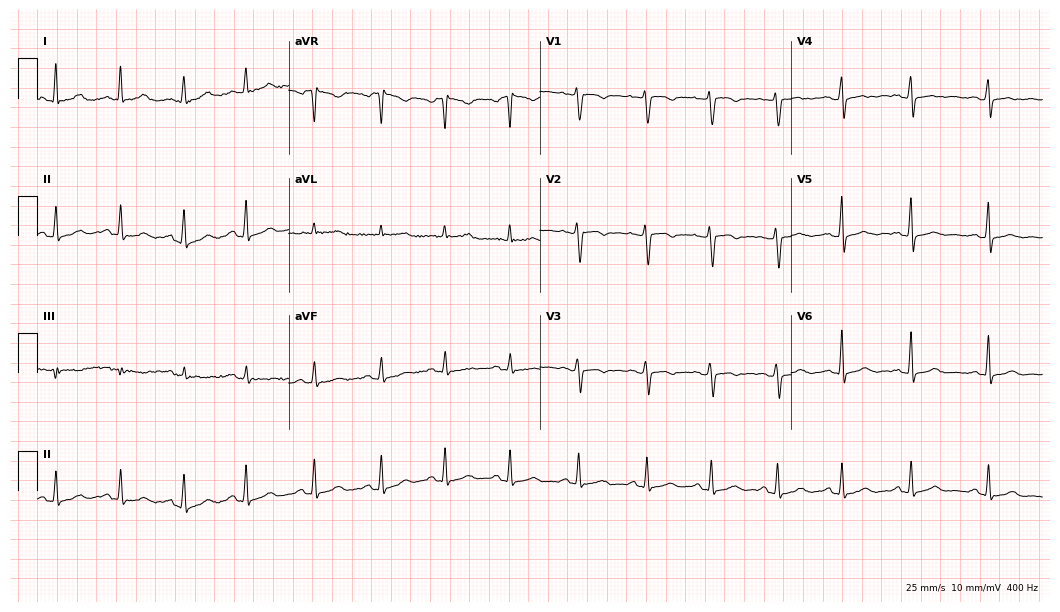
12-lead ECG (10.2-second recording at 400 Hz) from a 46-year-old female. Labelled as a normal ECG.